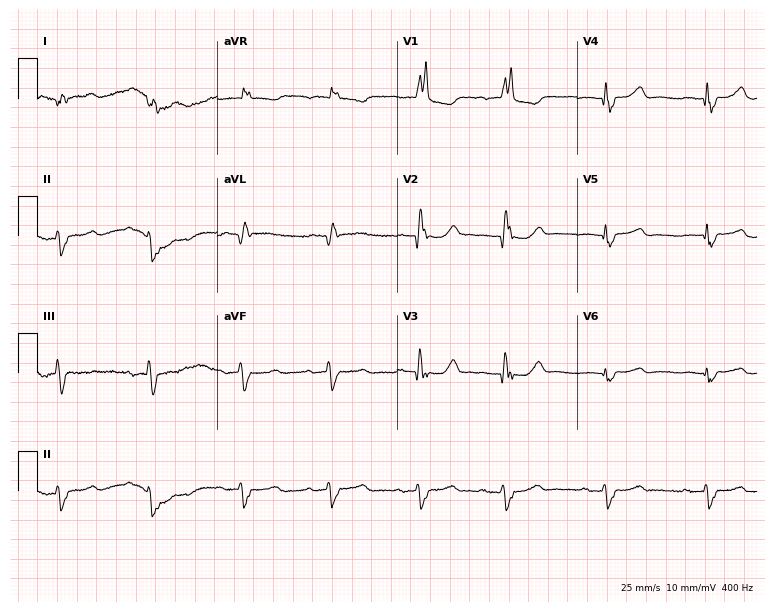
Resting 12-lead electrocardiogram. Patient: a female aged 90 or older. None of these six findings is recorded: first-degree AV block, right bundle branch block (RBBB), left bundle branch block (LBBB), sinus bradycardia, atrial fibrillation (AF), sinus tachycardia.